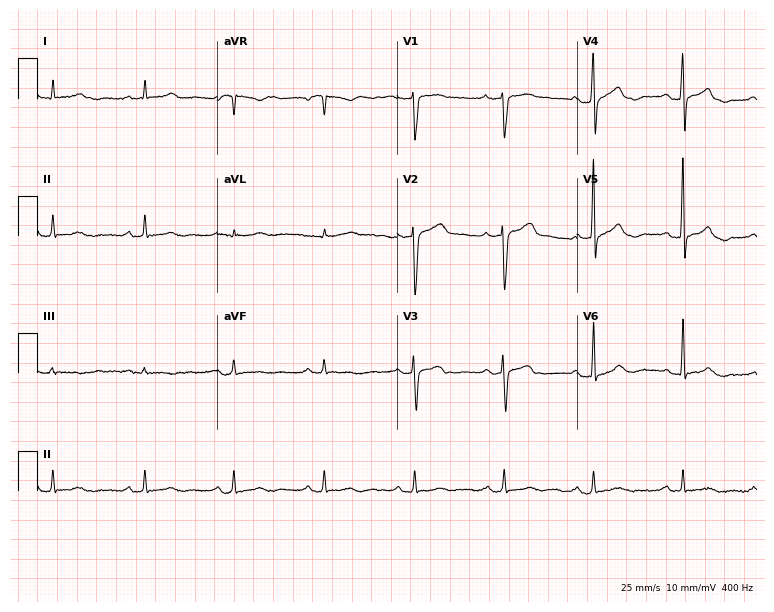
Electrocardiogram (7.3-second recording at 400 Hz), a 64-year-old female. Of the six screened findings (first-degree AV block, right bundle branch block (RBBB), left bundle branch block (LBBB), sinus bradycardia, atrial fibrillation (AF), sinus tachycardia), none is recorded. Findings outside these six are not listed.